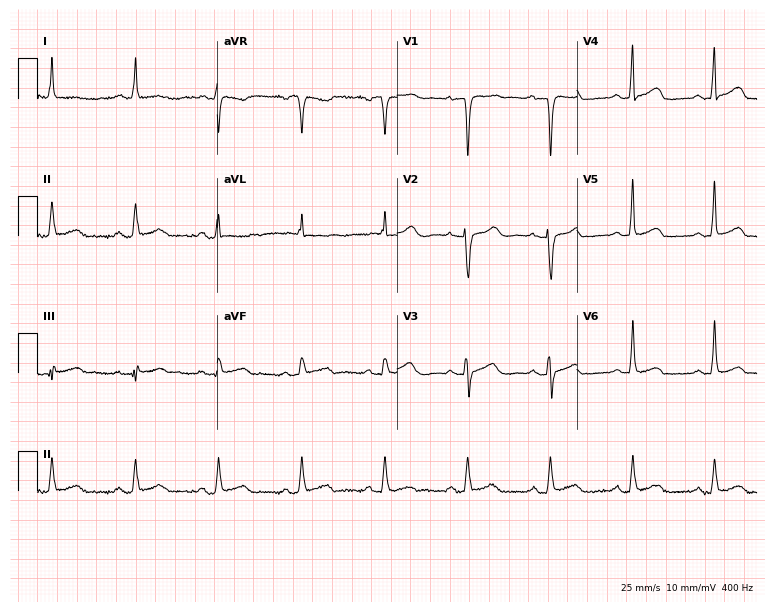
12-lead ECG from an 81-year-old female. No first-degree AV block, right bundle branch block, left bundle branch block, sinus bradycardia, atrial fibrillation or sinus tachycardia recorded for this tracing. Findings outside these six are not listed.